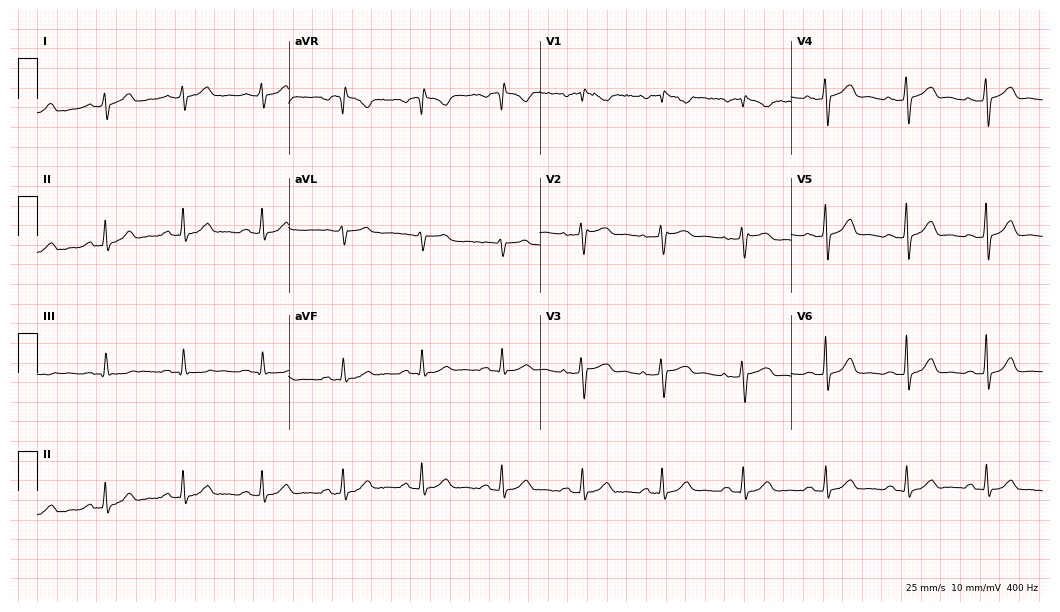
Standard 12-lead ECG recorded from a female, 52 years old (10.2-second recording at 400 Hz). Read as a normal ECG.